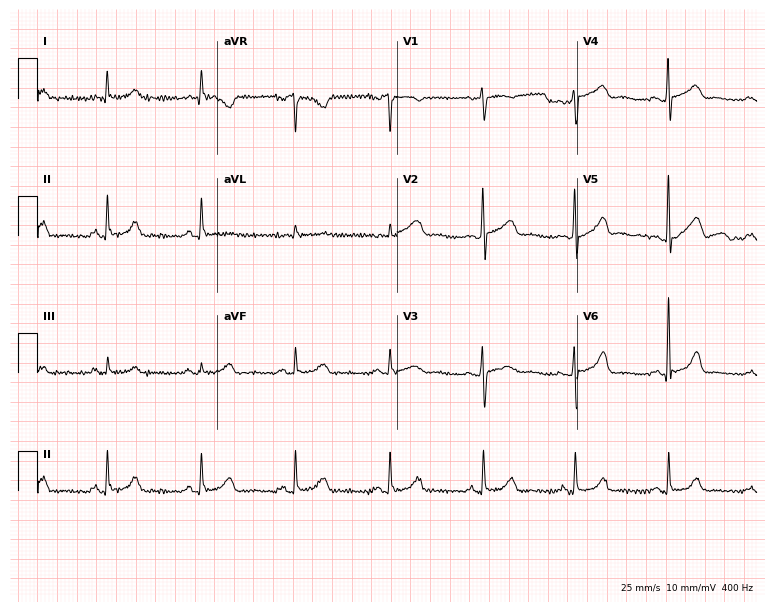
12-lead ECG from a 56-year-old female (7.3-second recording at 400 Hz). Recorded interpretation: within normal limits.